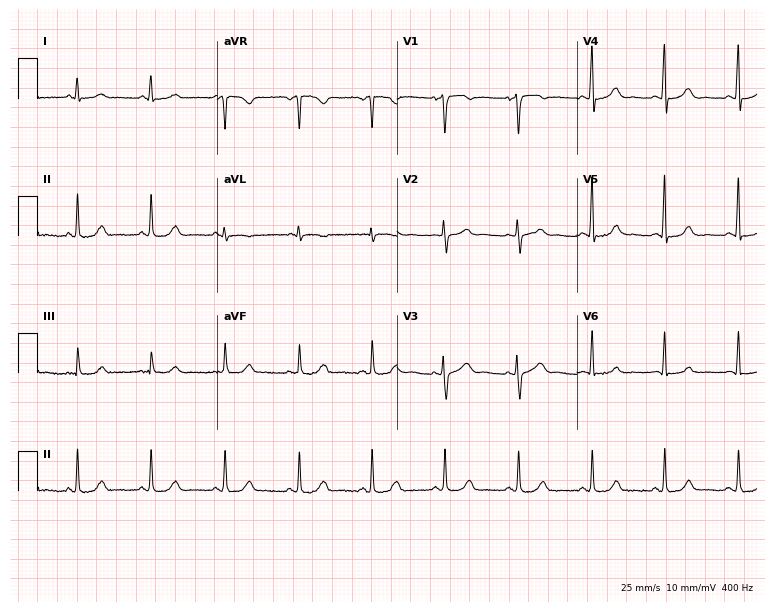
Standard 12-lead ECG recorded from a woman, 42 years old. None of these six findings is recorded: first-degree AV block, right bundle branch block, left bundle branch block, sinus bradycardia, atrial fibrillation, sinus tachycardia.